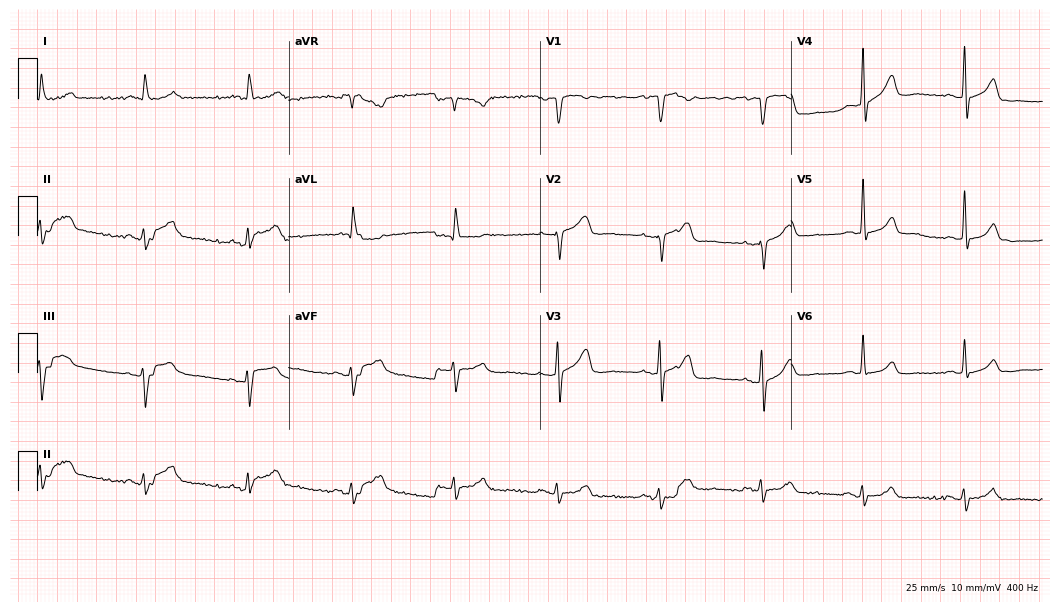
12-lead ECG from a male, 82 years old (10.2-second recording at 400 Hz). Recorded interpretation: within normal limits.